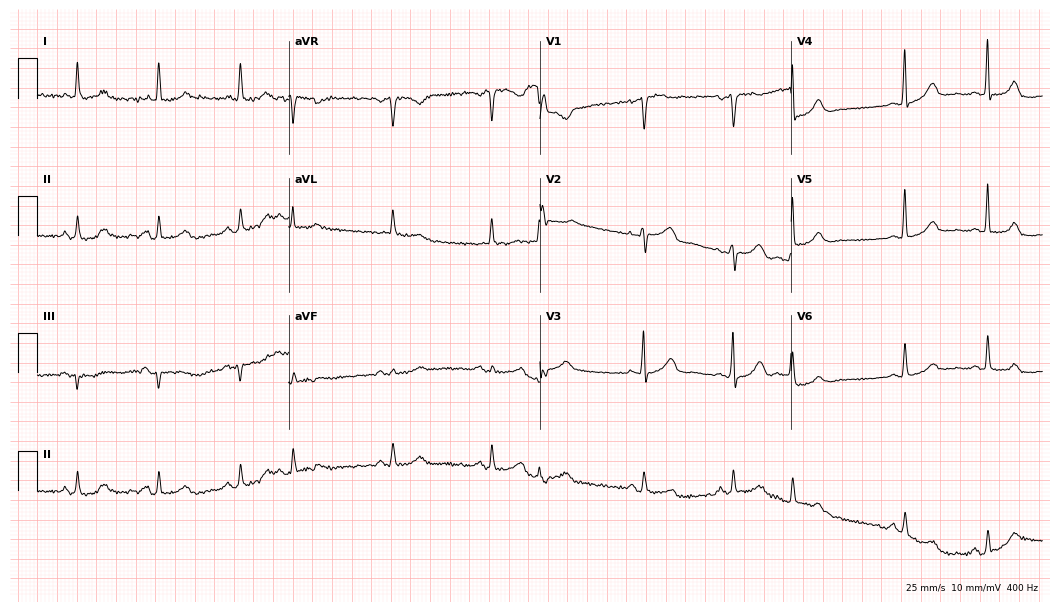
12-lead ECG from an 80-year-old female patient (10.2-second recording at 400 Hz). No first-degree AV block, right bundle branch block (RBBB), left bundle branch block (LBBB), sinus bradycardia, atrial fibrillation (AF) or sinus tachycardia recorded for this tracing. Findings outside these six are not listed.